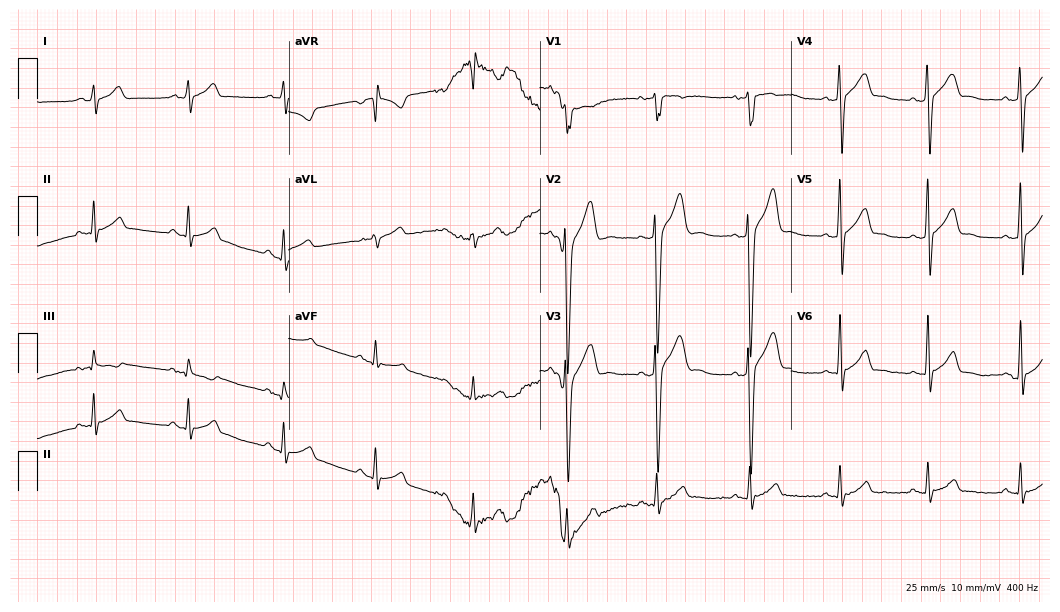
ECG (10.2-second recording at 400 Hz) — a male, 31 years old. Labelled as a normal ECG.